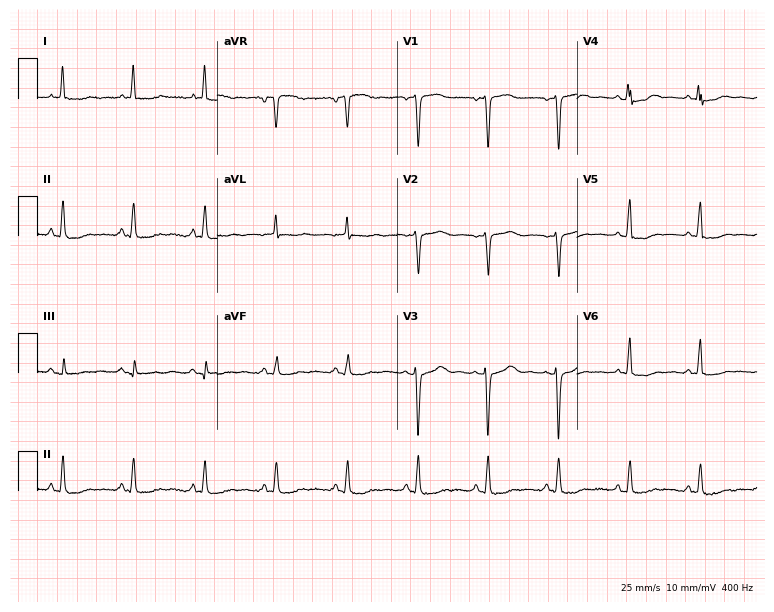
Resting 12-lead electrocardiogram. Patient: a female, 65 years old. None of these six findings is recorded: first-degree AV block, right bundle branch block, left bundle branch block, sinus bradycardia, atrial fibrillation, sinus tachycardia.